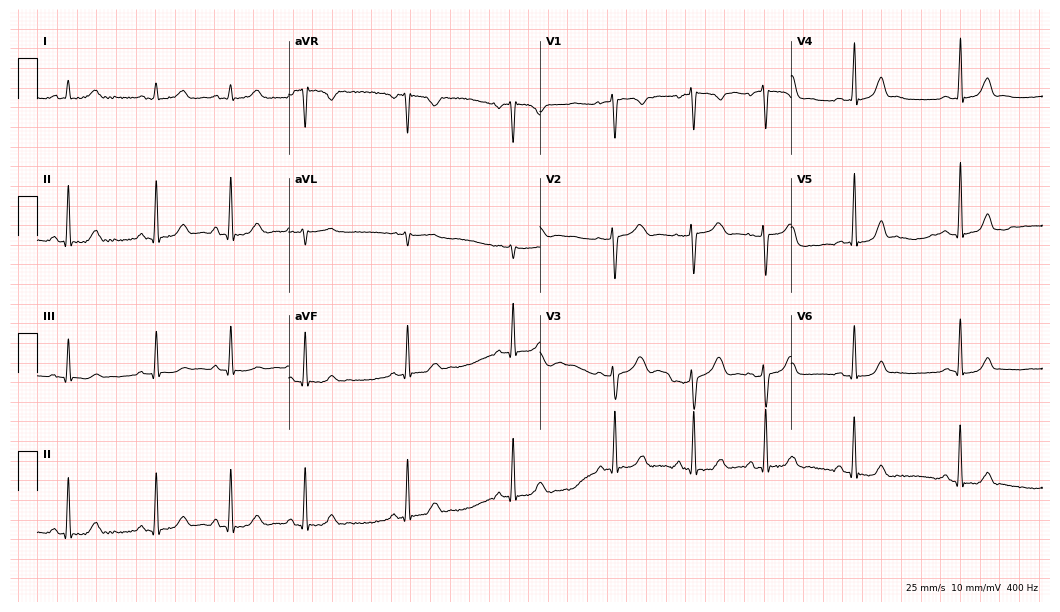
Resting 12-lead electrocardiogram. Patient: a woman, 26 years old. Read as a normal ECG.